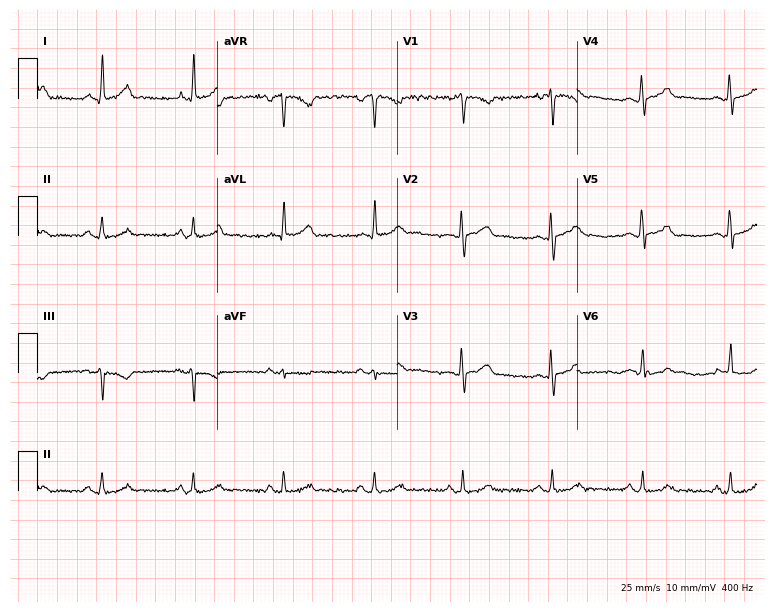
12-lead ECG from a 28-year-old woman. Recorded interpretation: within normal limits.